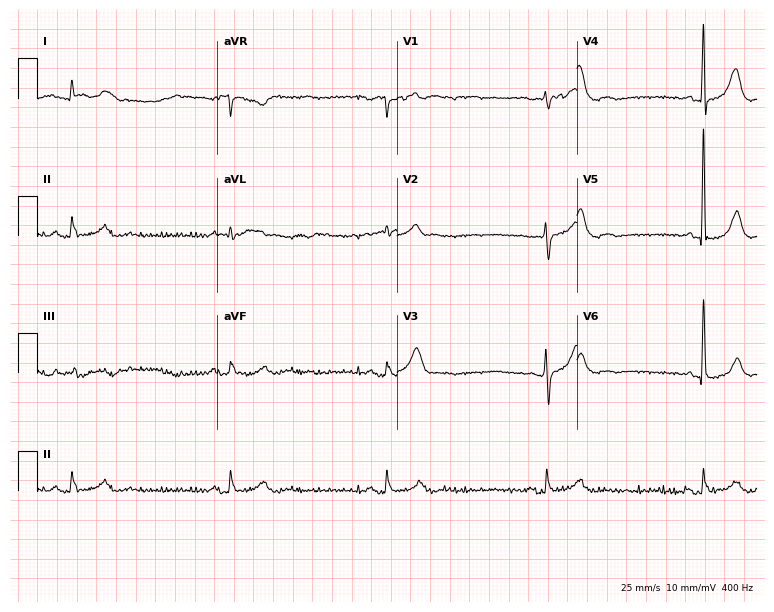
12-lead ECG from a 75-year-old male. Shows sinus bradycardia (a sinus rate of 50 beats per minute or less).